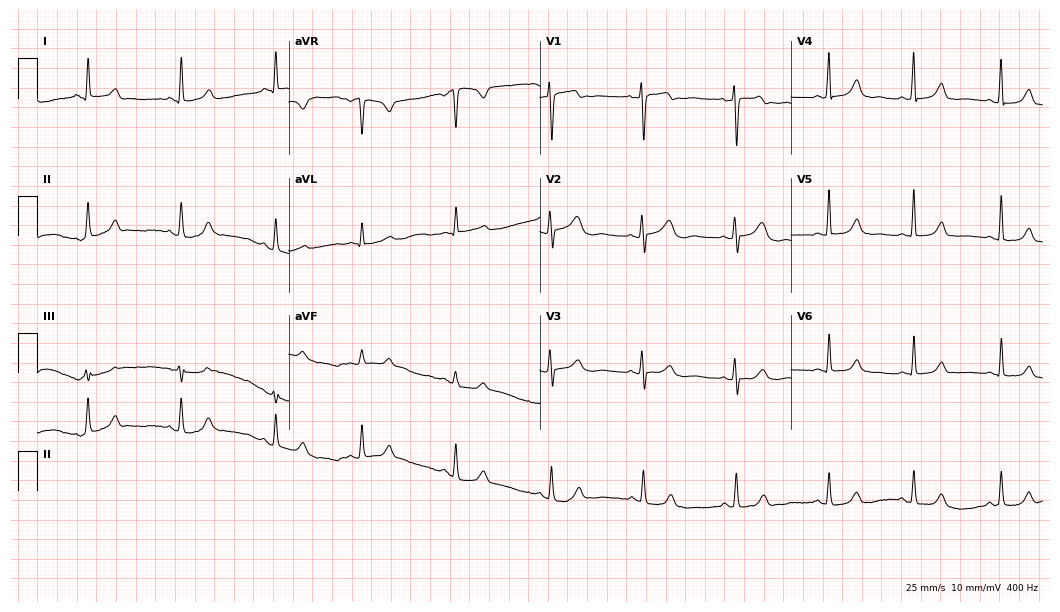
Resting 12-lead electrocardiogram (10.2-second recording at 400 Hz). Patient: a 39-year-old female. Read as a normal ECG.